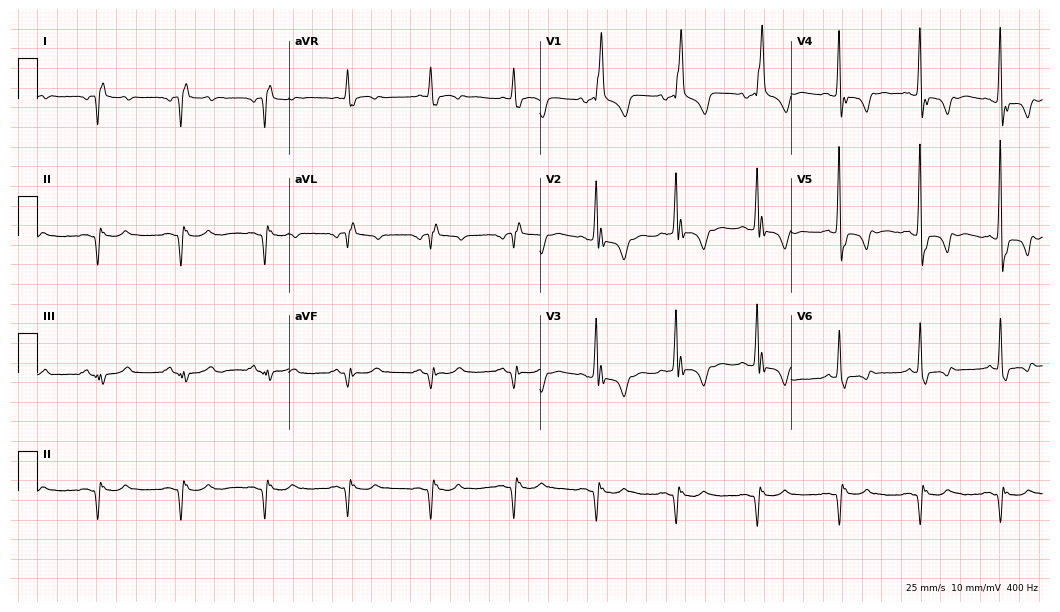
12-lead ECG (10.2-second recording at 400 Hz) from a male patient, 60 years old. Screened for six findings — first-degree AV block, right bundle branch block, left bundle branch block, sinus bradycardia, atrial fibrillation, sinus tachycardia — none is recorded.